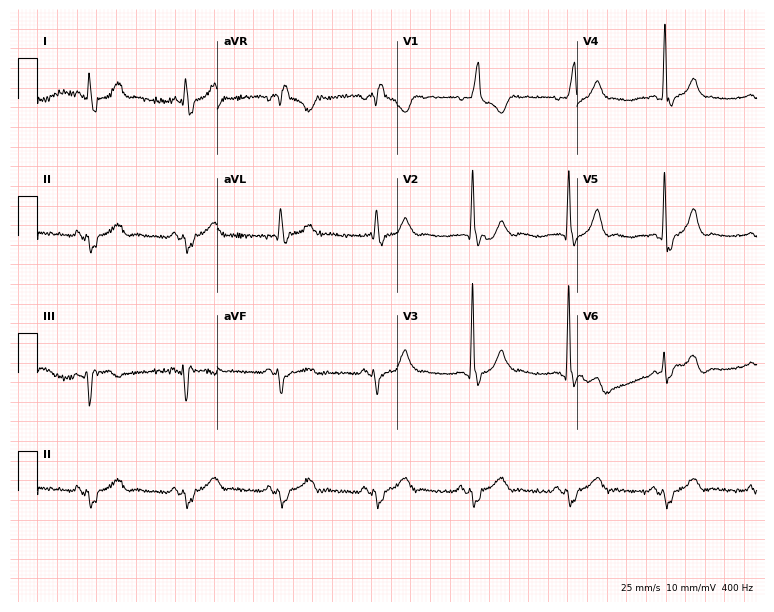
Resting 12-lead electrocardiogram. Patient: a male, 85 years old. The tracing shows right bundle branch block.